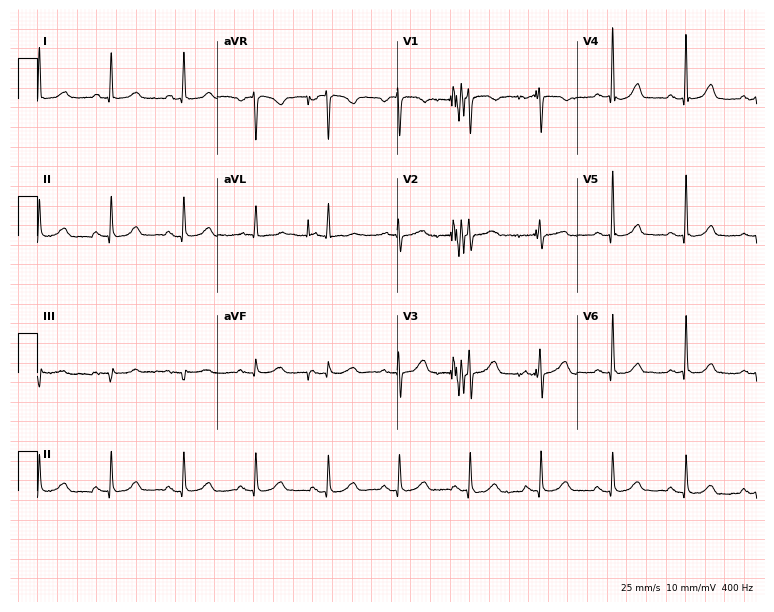
ECG — a 72-year-old female patient. Labelled as a normal ECG.